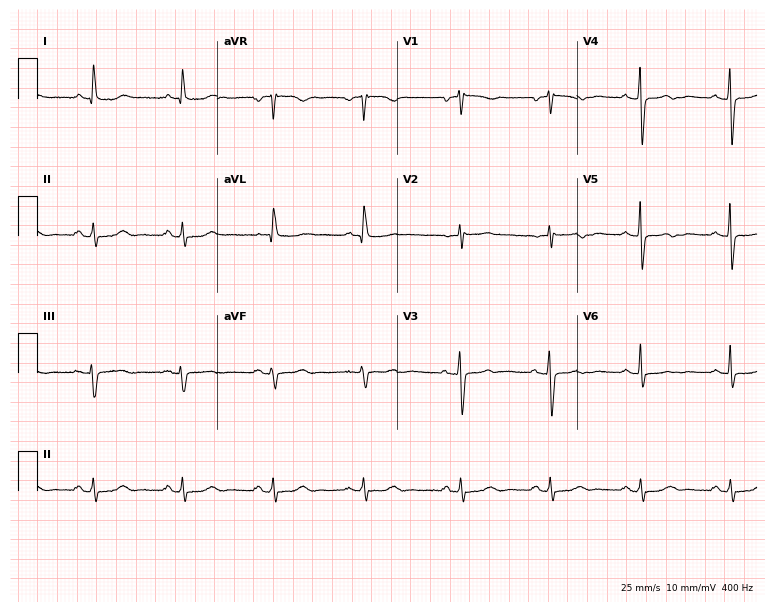
12-lead ECG from a female patient, 56 years old. No first-degree AV block, right bundle branch block (RBBB), left bundle branch block (LBBB), sinus bradycardia, atrial fibrillation (AF) or sinus tachycardia recorded for this tracing.